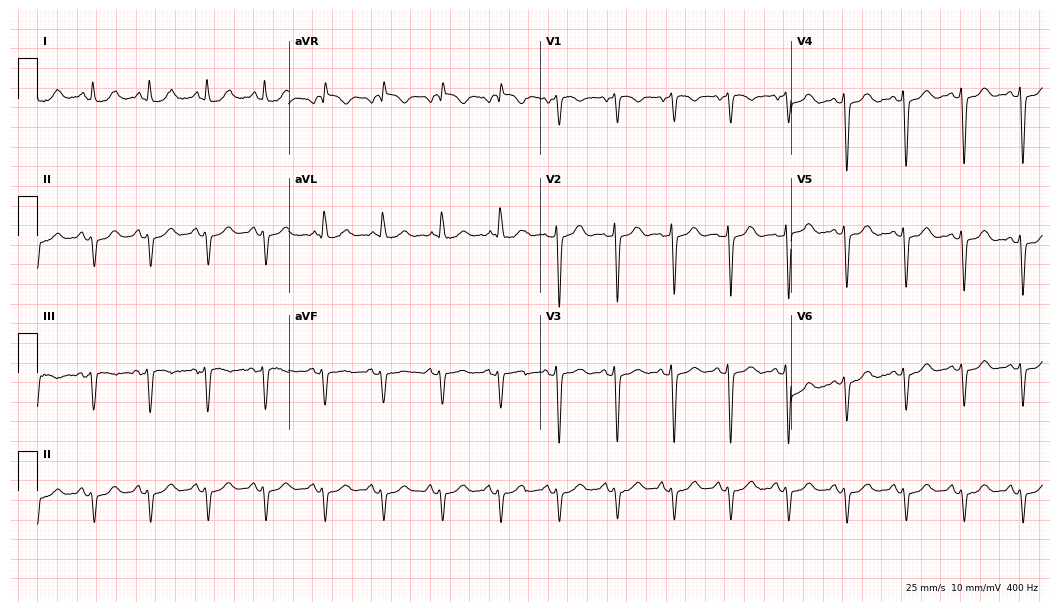
Resting 12-lead electrocardiogram (10.2-second recording at 400 Hz). Patient: an 80-year-old female. None of these six findings is recorded: first-degree AV block, right bundle branch block, left bundle branch block, sinus bradycardia, atrial fibrillation, sinus tachycardia.